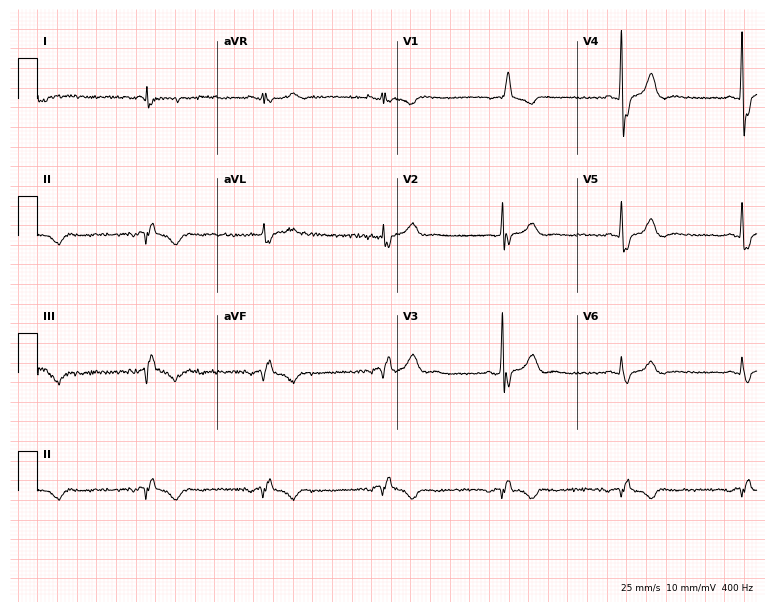
ECG (7.3-second recording at 400 Hz) — a 63-year-old male. Screened for six findings — first-degree AV block, right bundle branch block (RBBB), left bundle branch block (LBBB), sinus bradycardia, atrial fibrillation (AF), sinus tachycardia — none is recorded.